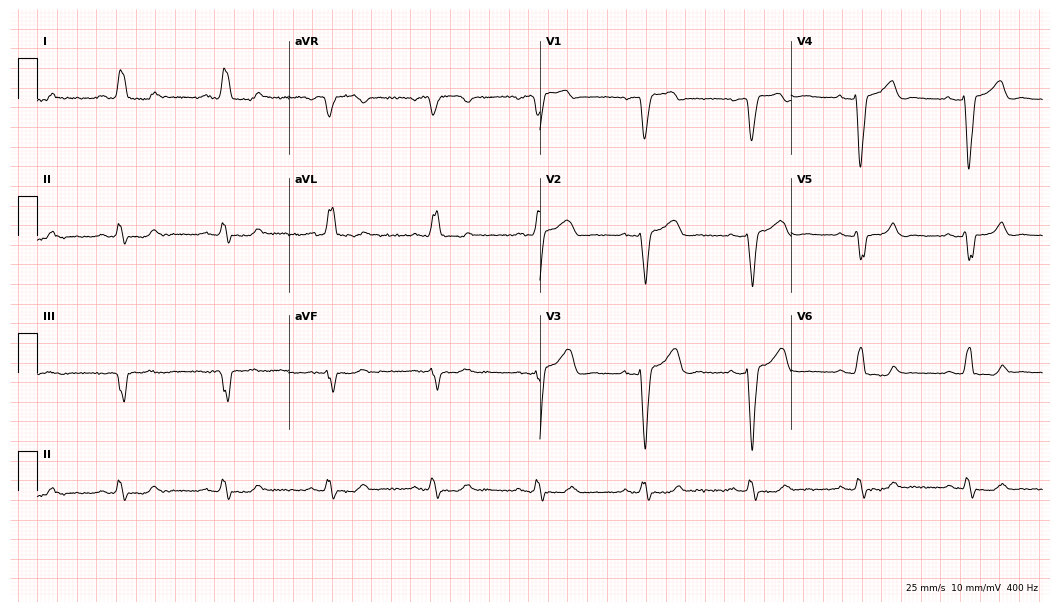
Standard 12-lead ECG recorded from a 64-year-old woman. The tracing shows left bundle branch block (LBBB).